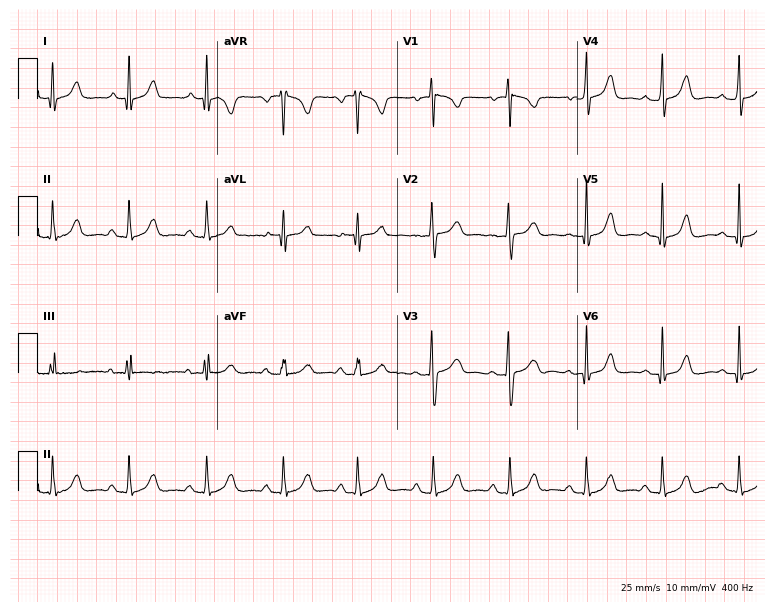
ECG (7.3-second recording at 400 Hz) — a female, 28 years old. Labelled as a normal ECG.